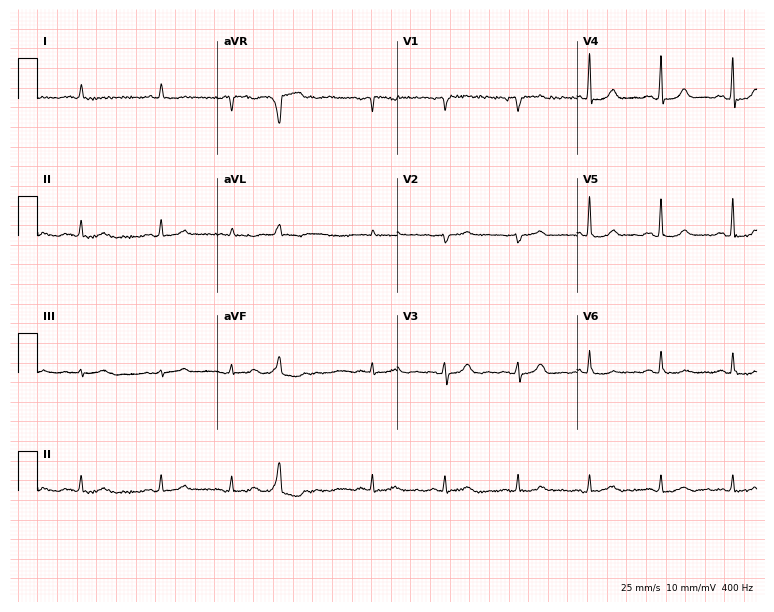
ECG — an 84-year-old man. Screened for six findings — first-degree AV block, right bundle branch block (RBBB), left bundle branch block (LBBB), sinus bradycardia, atrial fibrillation (AF), sinus tachycardia — none is recorded.